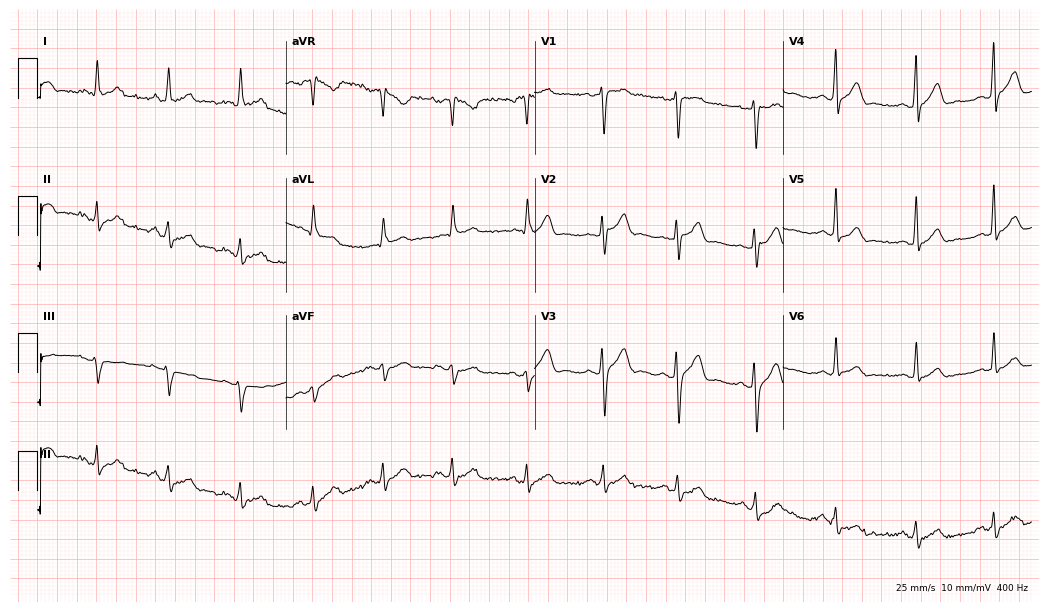
Electrocardiogram, a 35-year-old man. Overall reading on record: normal ECG.